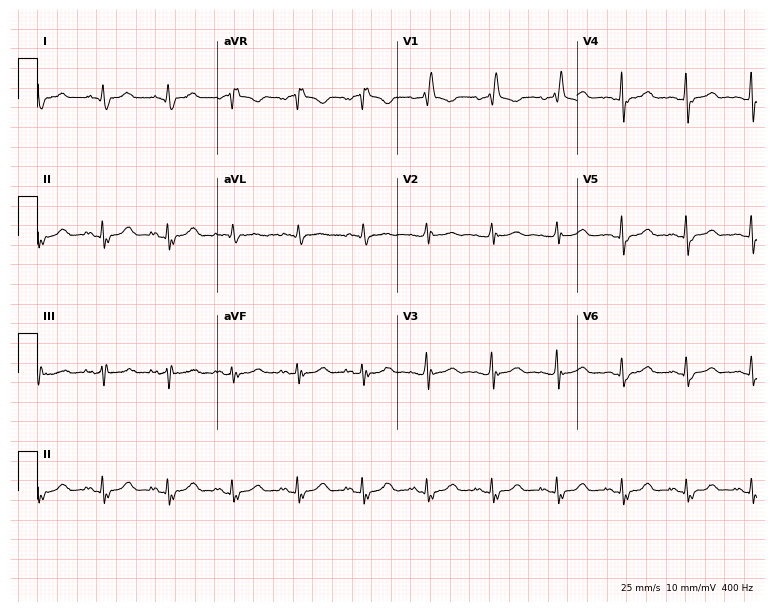
Standard 12-lead ECG recorded from a female, 77 years old. The tracing shows right bundle branch block (RBBB).